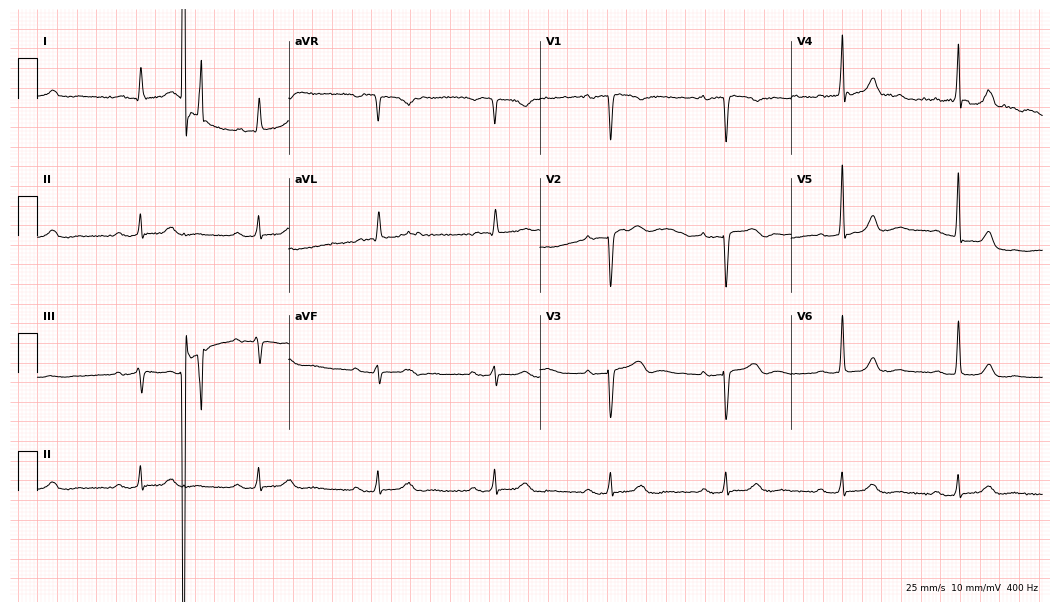
Resting 12-lead electrocardiogram (10.2-second recording at 400 Hz). Patient: a female, 74 years old. The tracing shows first-degree AV block.